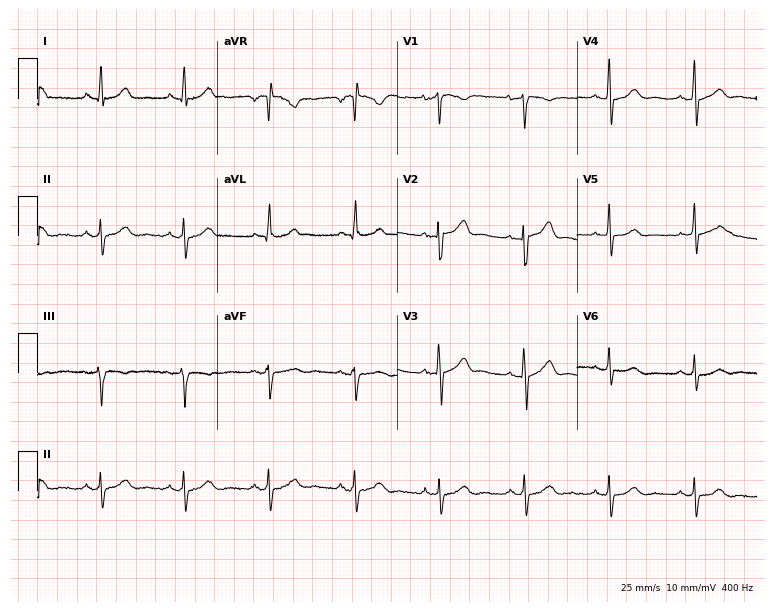
Resting 12-lead electrocardiogram (7.3-second recording at 400 Hz). Patient: a 39-year-old man. None of these six findings is recorded: first-degree AV block, right bundle branch block, left bundle branch block, sinus bradycardia, atrial fibrillation, sinus tachycardia. Findings outside these six are not listed.